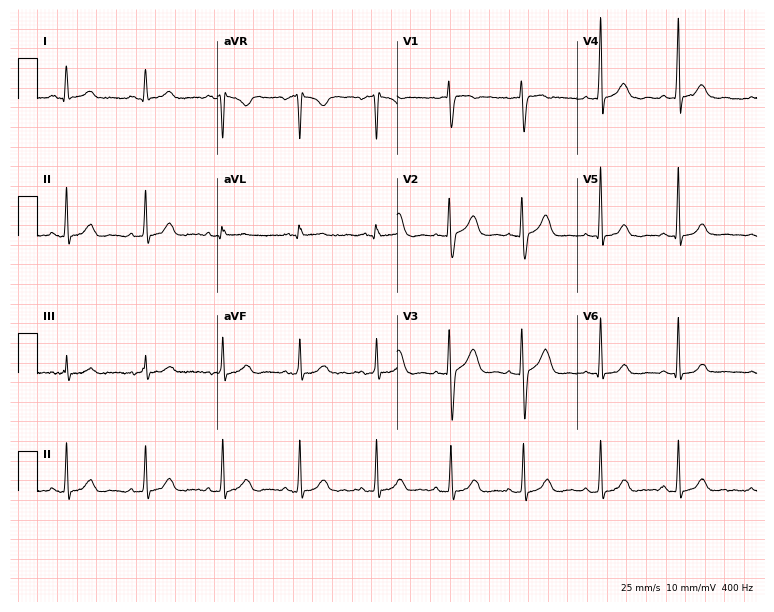
Standard 12-lead ECG recorded from a 23-year-old female patient (7.3-second recording at 400 Hz). None of these six findings is recorded: first-degree AV block, right bundle branch block (RBBB), left bundle branch block (LBBB), sinus bradycardia, atrial fibrillation (AF), sinus tachycardia. Only these six findings were labelled.